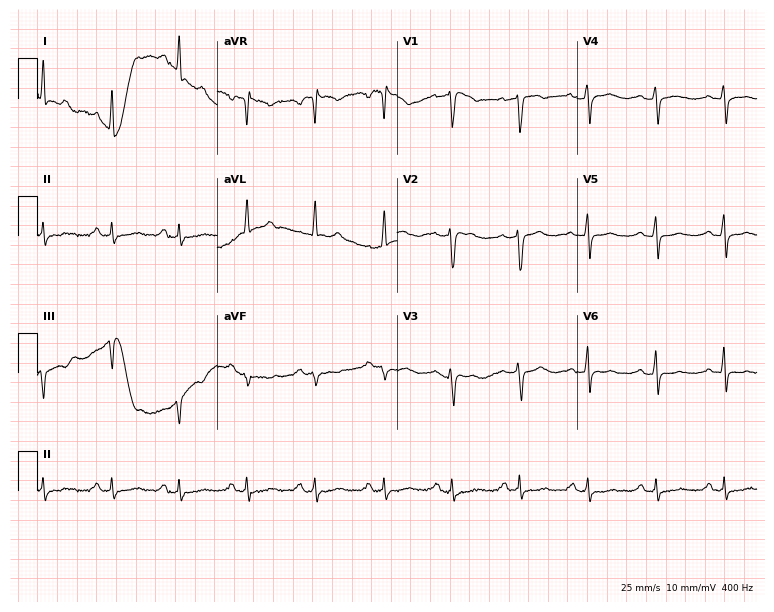
Resting 12-lead electrocardiogram. Patient: a 40-year-old woman. None of these six findings is recorded: first-degree AV block, right bundle branch block, left bundle branch block, sinus bradycardia, atrial fibrillation, sinus tachycardia. Only these six findings were labelled.